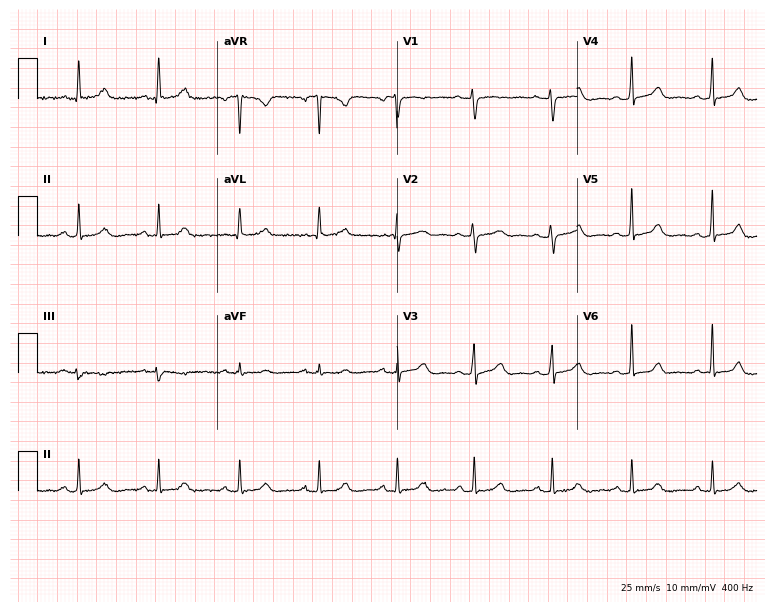
12-lead ECG (7.3-second recording at 400 Hz) from a female, 45 years old. Labelled as a normal ECG.